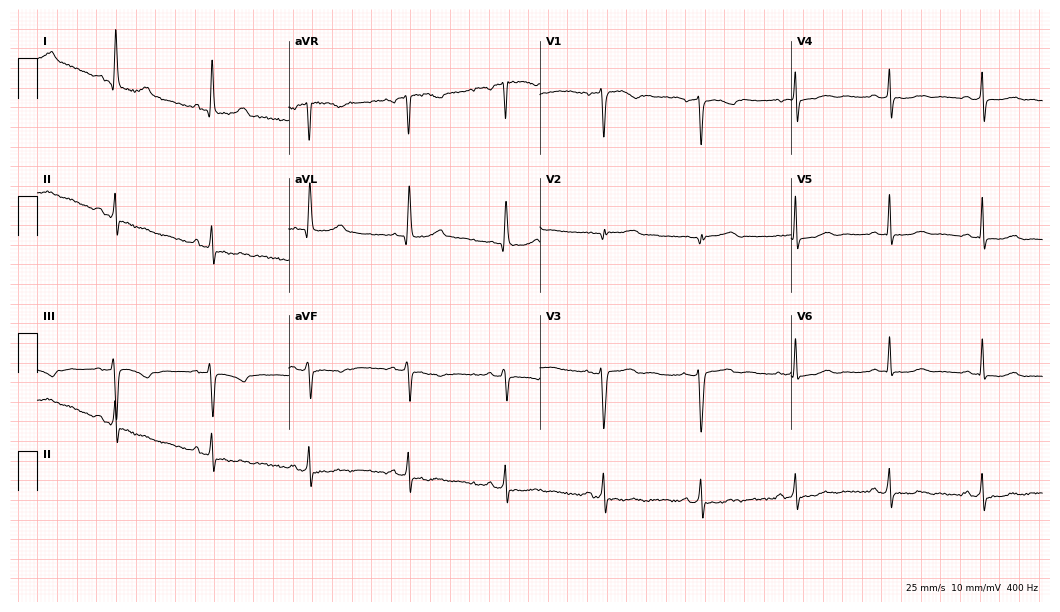
Electrocardiogram (10.2-second recording at 400 Hz), a female patient, 54 years old. Of the six screened findings (first-degree AV block, right bundle branch block, left bundle branch block, sinus bradycardia, atrial fibrillation, sinus tachycardia), none is recorded. Only these six findings were labelled.